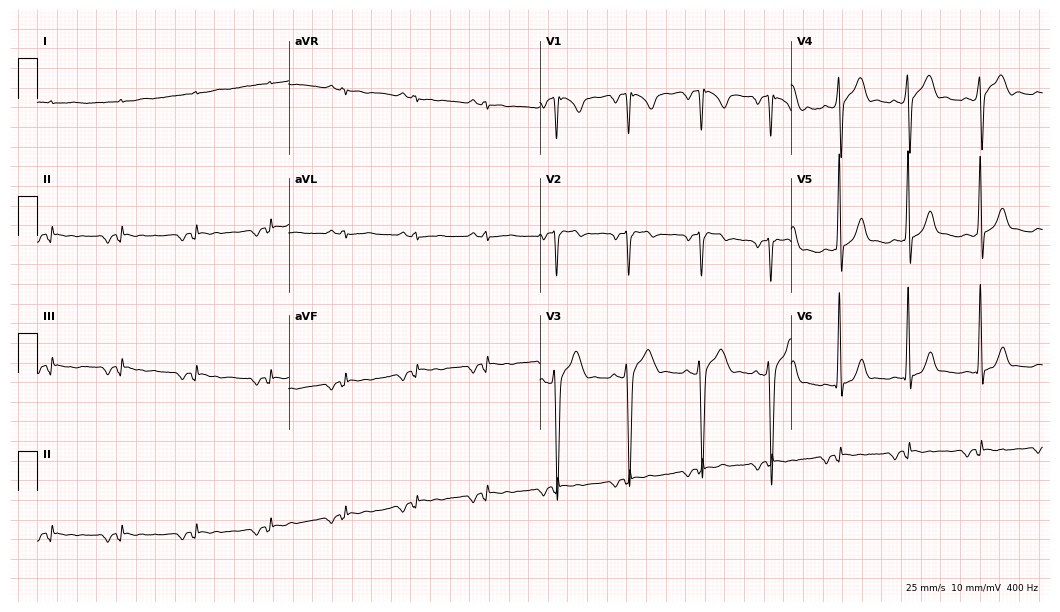
ECG (10.2-second recording at 400 Hz) — a 24-year-old male patient. Screened for six findings — first-degree AV block, right bundle branch block, left bundle branch block, sinus bradycardia, atrial fibrillation, sinus tachycardia — none is recorded. Only these six findings were labelled.